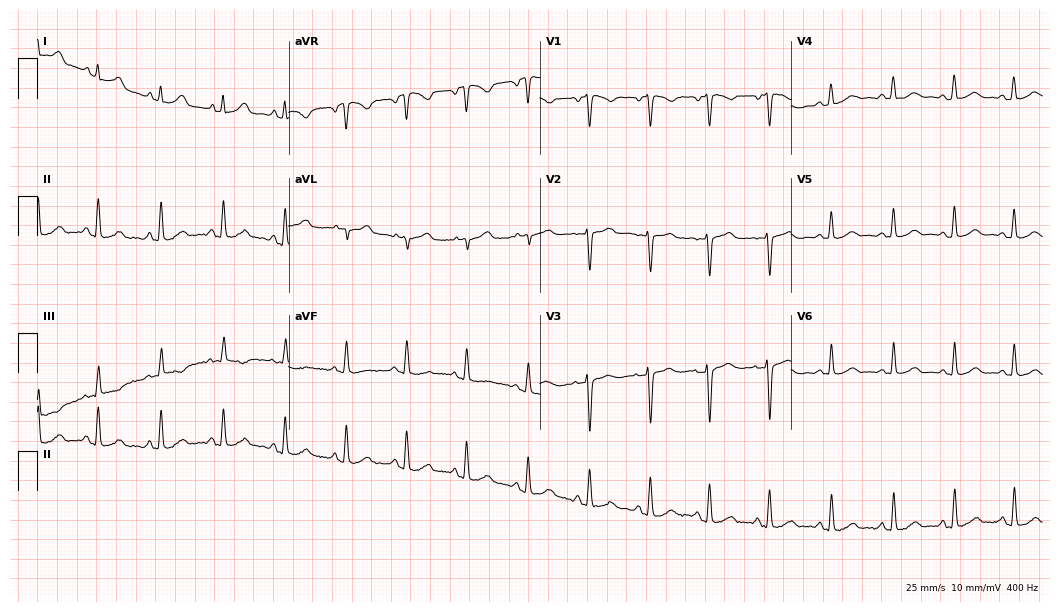
Electrocardiogram, a female, 27 years old. Overall reading on record: normal ECG.